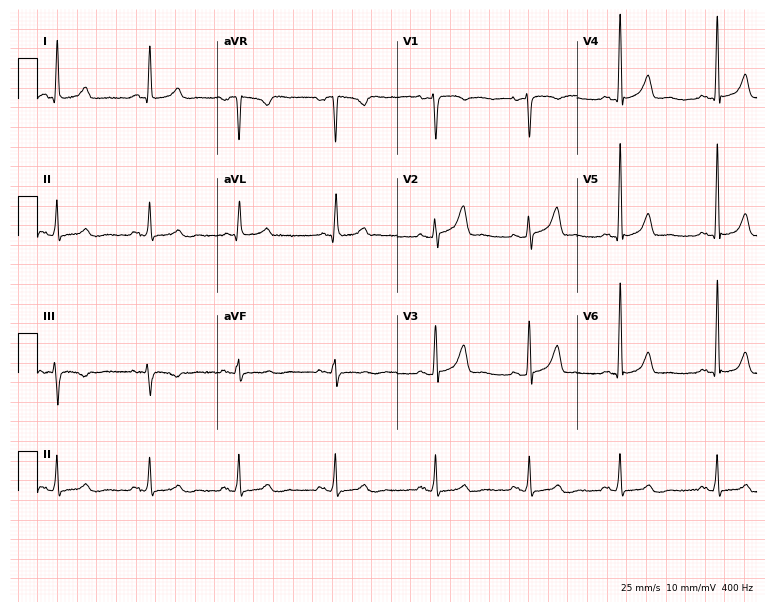
Standard 12-lead ECG recorded from a woman, 51 years old (7.3-second recording at 400 Hz). None of these six findings is recorded: first-degree AV block, right bundle branch block, left bundle branch block, sinus bradycardia, atrial fibrillation, sinus tachycardia.